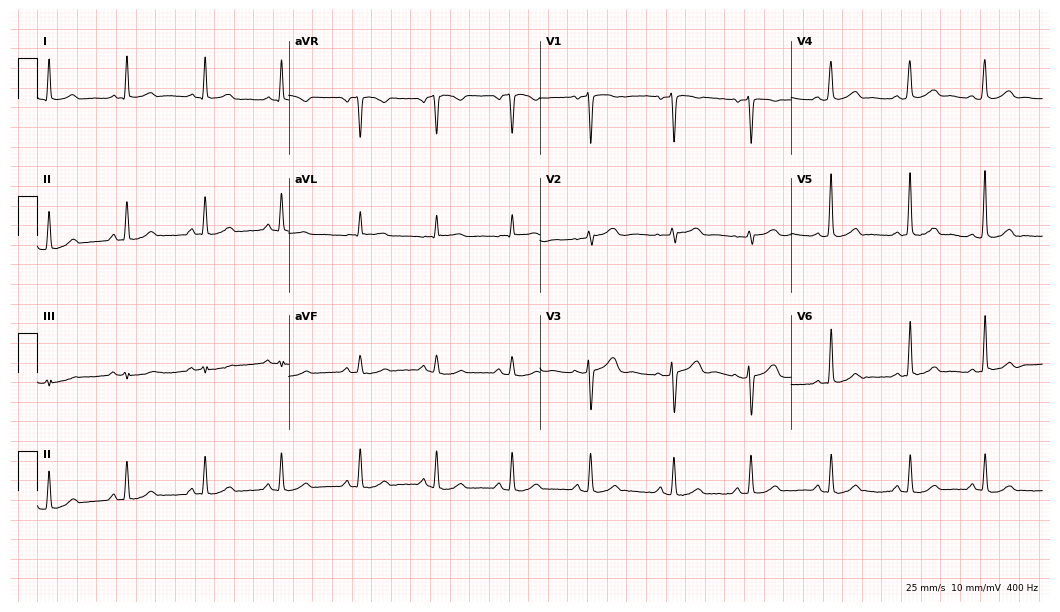
12-lead ECG (10.2-second recording at 400 Hz) from a female, 33 years old. Labelled as a normal ECG.